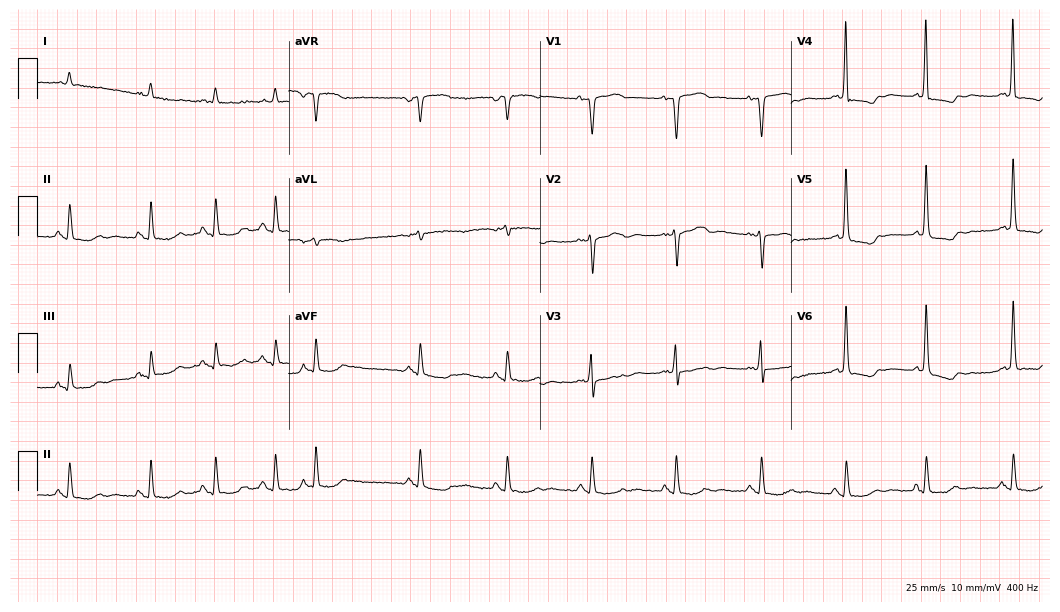
Electrocardiogram (10.2-second recording at 400 Hz), a female, 83 years old. Of the six screened findings (first-degree AV block, right bundle branch block (RBBB), left bundle branch block (LBBB), sinus bradycardia, atrial fibrillation (AF), sinus tachycardia), none is recorded.